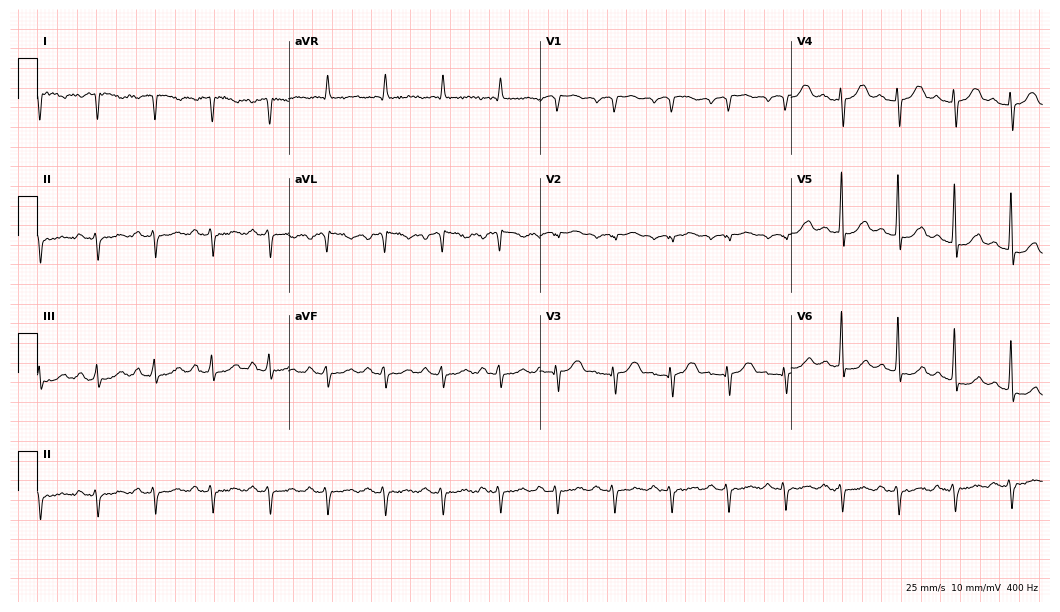
12-lead ECG (10.2-second recording at 400 Hz) from a 71-year-old man. Screened for six findings — first-degree AV block, right bundle branch block (RBBB), left bundle branch block (LBBB), sinus bradycardia, atrial fibrillation (AF), sinus tachycardia — none is recorded.